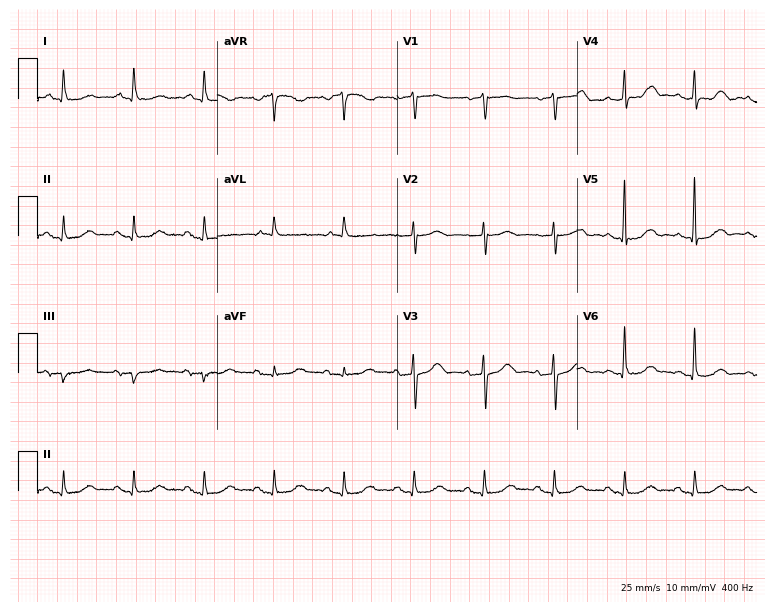
12-lead ECG from a woman, 83 years old. Labelled as a normal ECG.